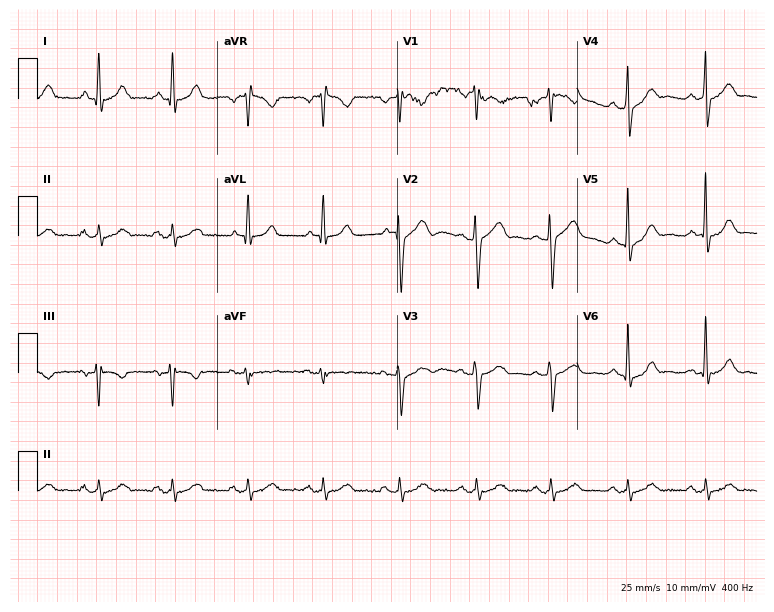
Standard 12-lead ECG recorded from a male, 48 years old. None of these six findings is recorded: first-degree AV block, right bundle branch block (RBBB), left bundle branch block (LBBB), sinus bradycardia, atrial fibrillation (AF), sinus tachycardia. Findings outside these six are not listed.